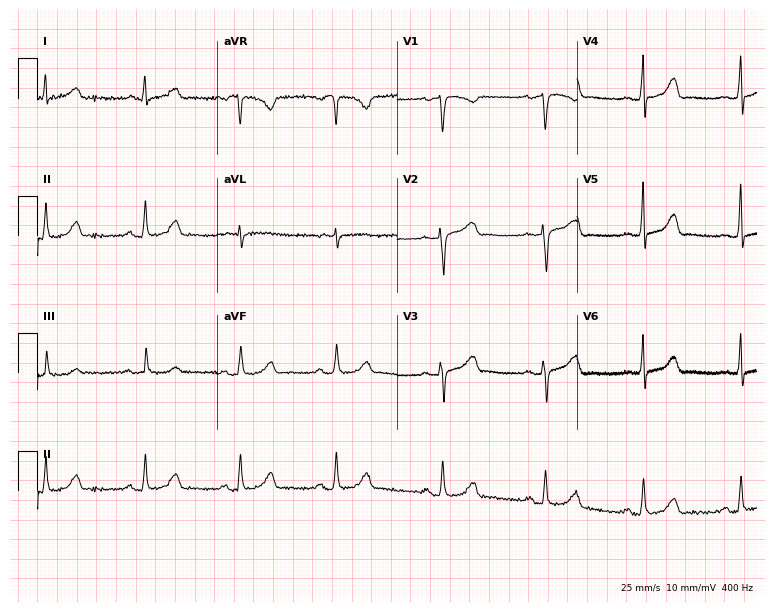
12-lead ECG from a female, 33 years old. Labelled as a normal ECG.